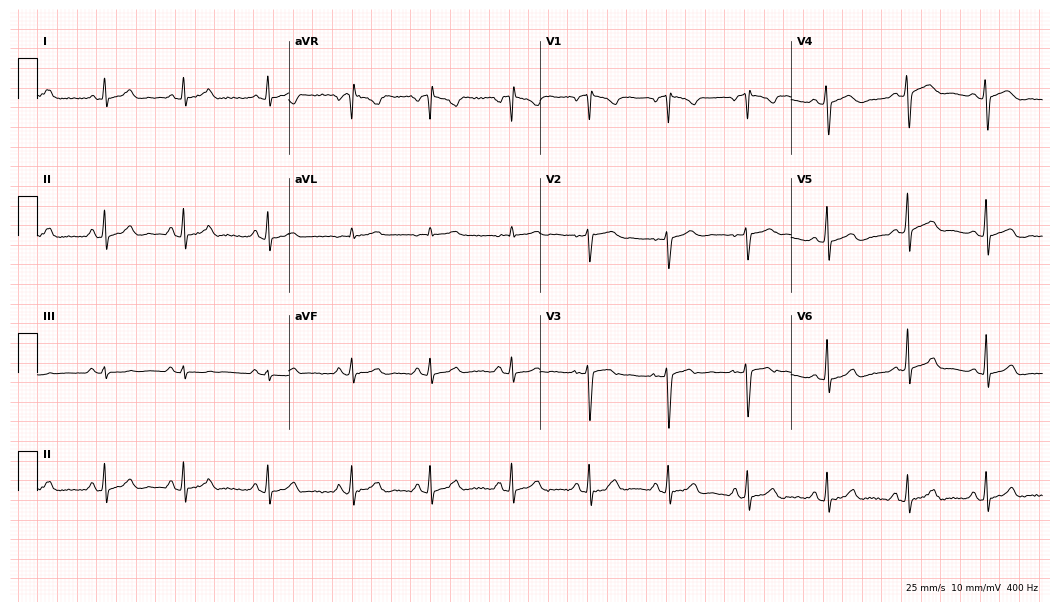
Electrocardiogram (10.2-second recording at 400 Hz), a female patient, 32 years old. Overall reading on record: normal ECG.